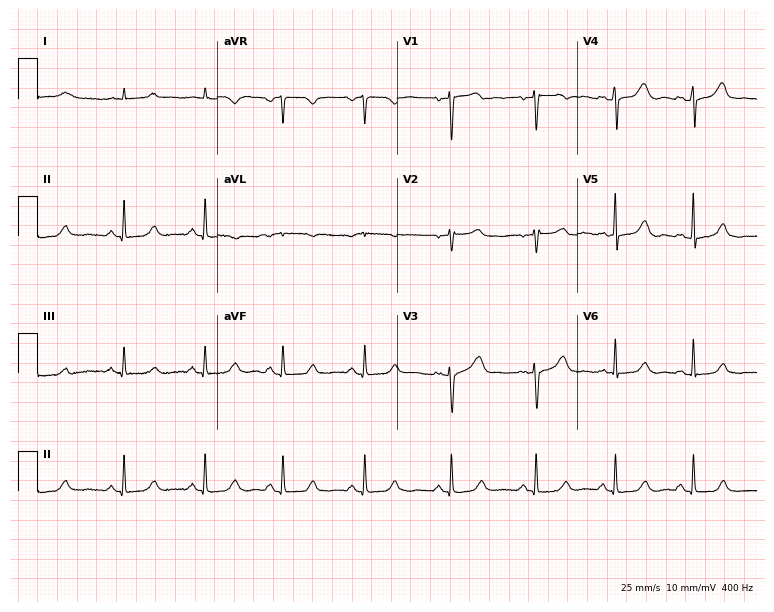
Resting 12-lead electrocardiogram. Patient: a female, 49 years old. None of these six findings is recorded: first-degree AV block, right bundle branch block (RBBB), left bundle branch block (LBBB), sinus bradycardia, atrial fibrillation (AF), sinus tachycardia. Findings outside these six are not listed.